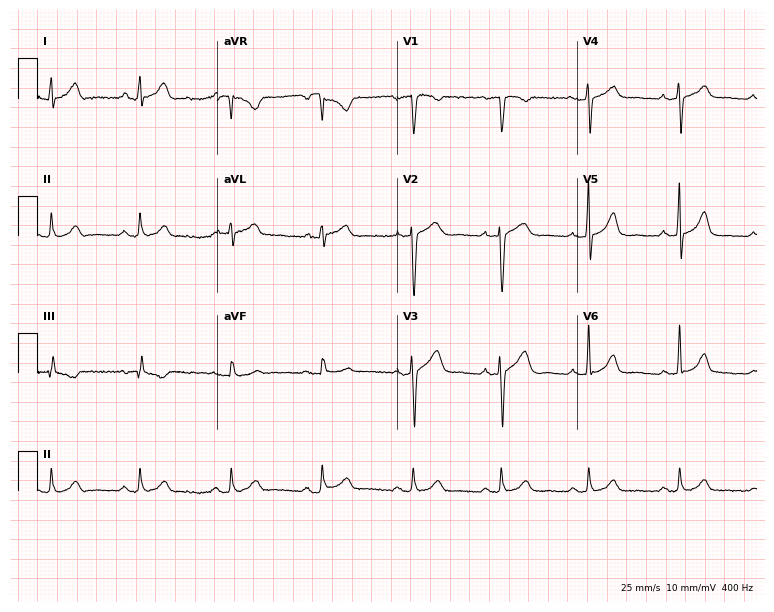
12-lead ECG from a 37-year-old man. Labelled as a normal ECG.